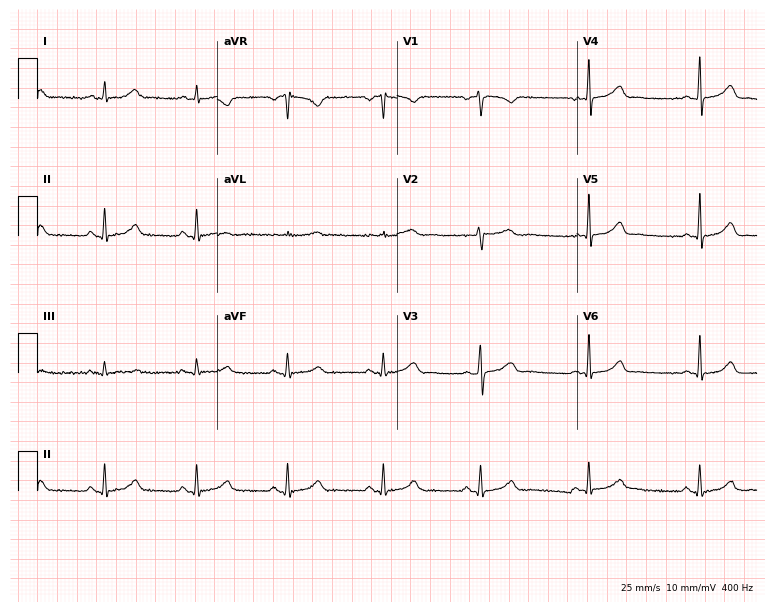
ECG — a 45-year-old woman. Labelled as a normal ECG.